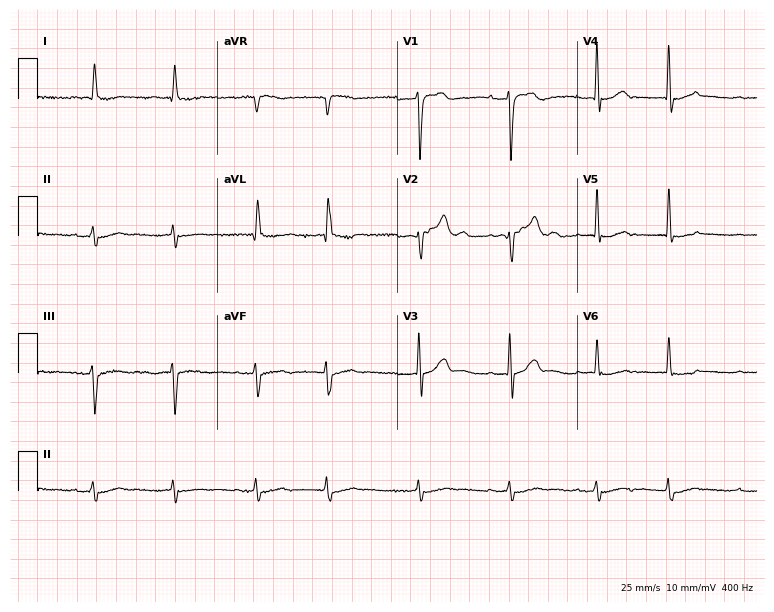
12-lead ECG from a female patient, 69 years old (7.3-second recording at 400 Hz). No first-degree AV block, right bundle branch block (RBBB), left bundle branch block (LBBB), sinus bradycardia, atrial fibrillation (AF) or sinus tachycardia recorded for this tracing.